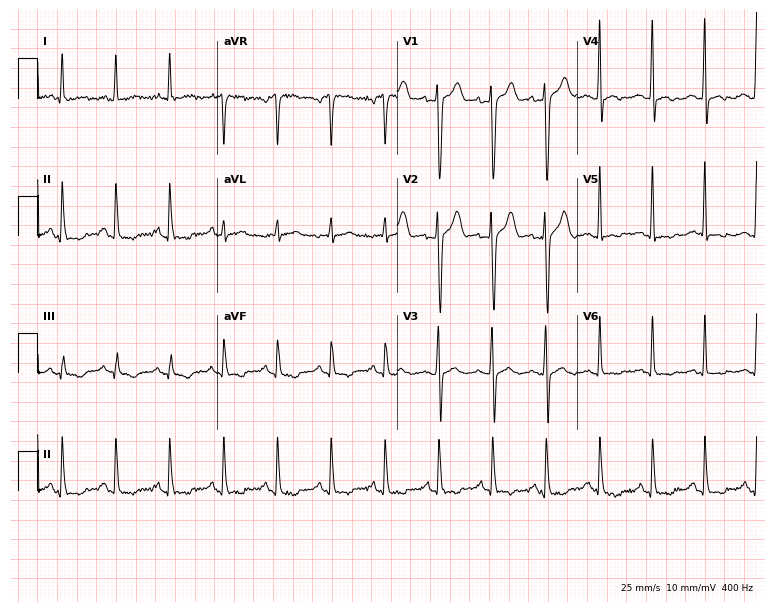
Standard 12-lead ECG recorded from a male, 32 years old (7.3-second recording at 400 Hz). None of these six findings is recorded: first-degree AV block, right bundle branch block (RBBB), left bundle branch block (LBBB), sinus bradycardia, atrial fibrillation (AF), sinus tachycardia. Other findings, if any, are not listed.